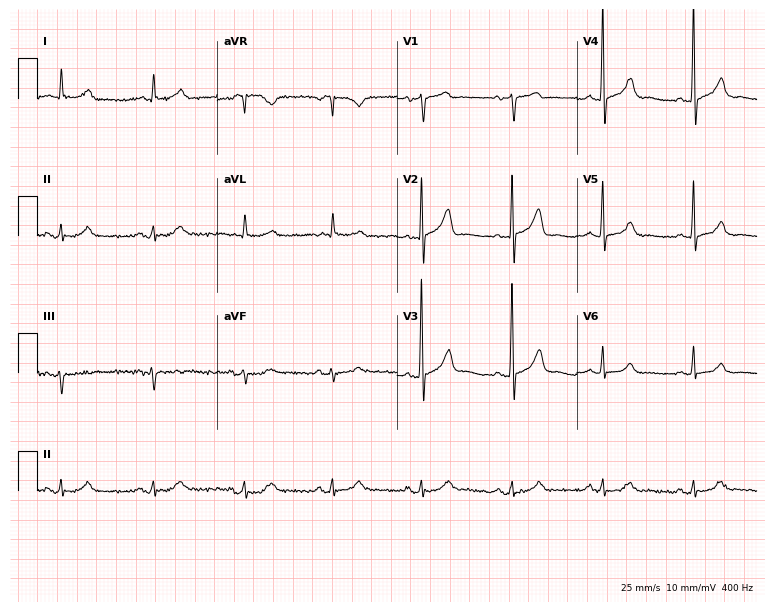
Electrocardiogram, a 65-year-old man. Overall reading on record: normal ECG.